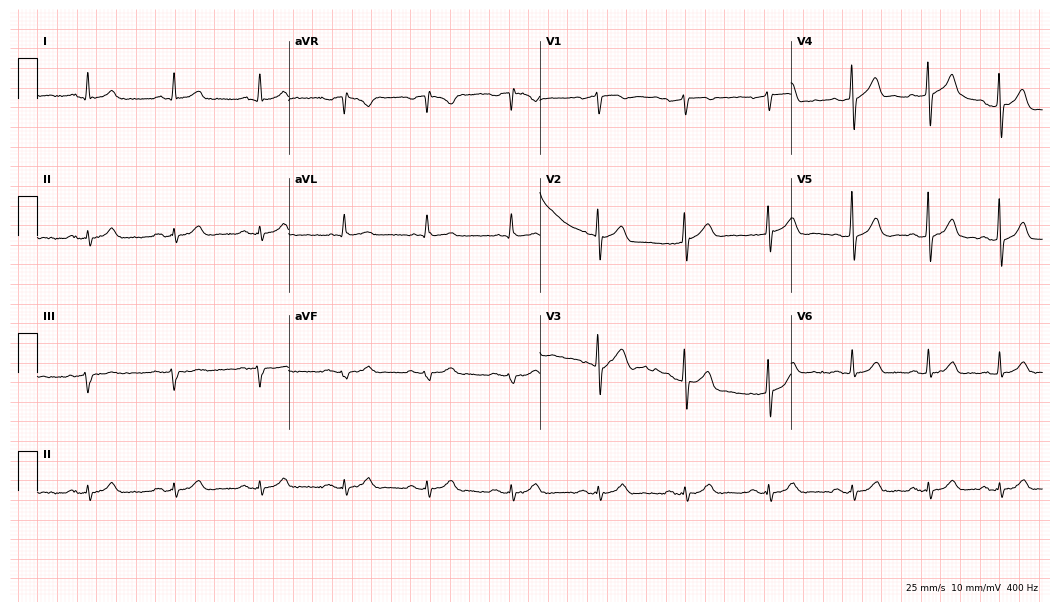
ECG — a 63-year-old man. Labelled as a normal ECG.